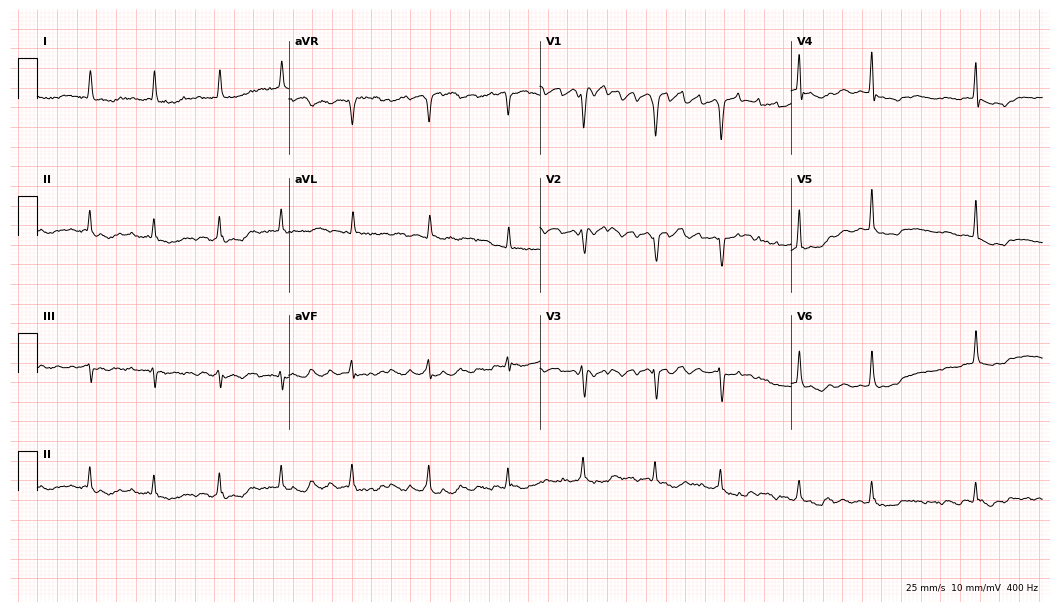
ECG — a female patient, 78 years old. Screened for six findings — first-degree AV block, right bundle branch block, left bundle branch block, sinus bradycardia, atrial fibrillation, sinus tachycardia — none is recorded. Other findings, if any, are not listed.